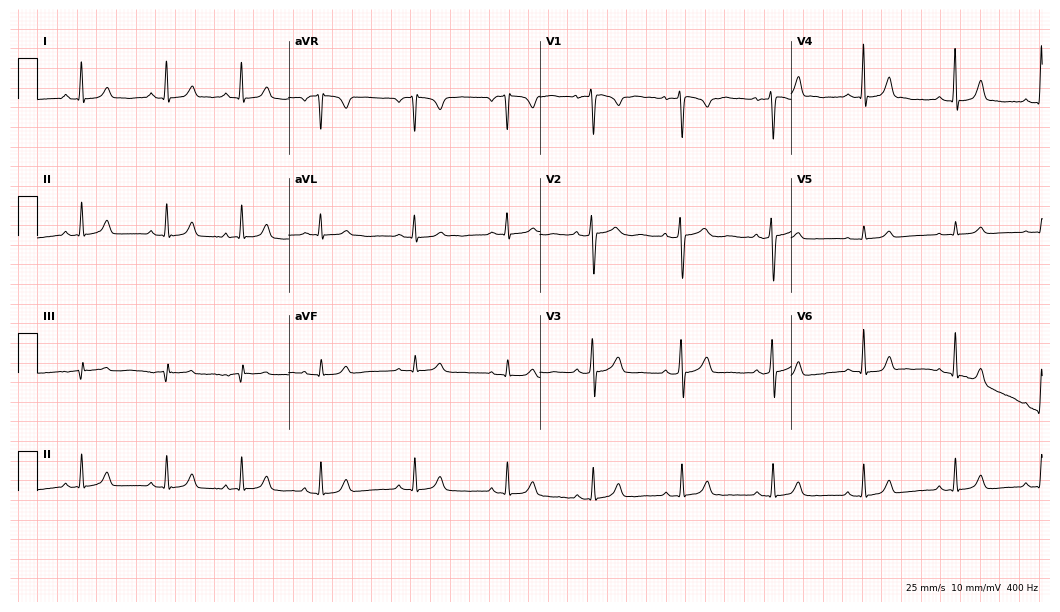
Electrocardiogram, a 29-year-old female patient. Overall reading on record: normal ECG.